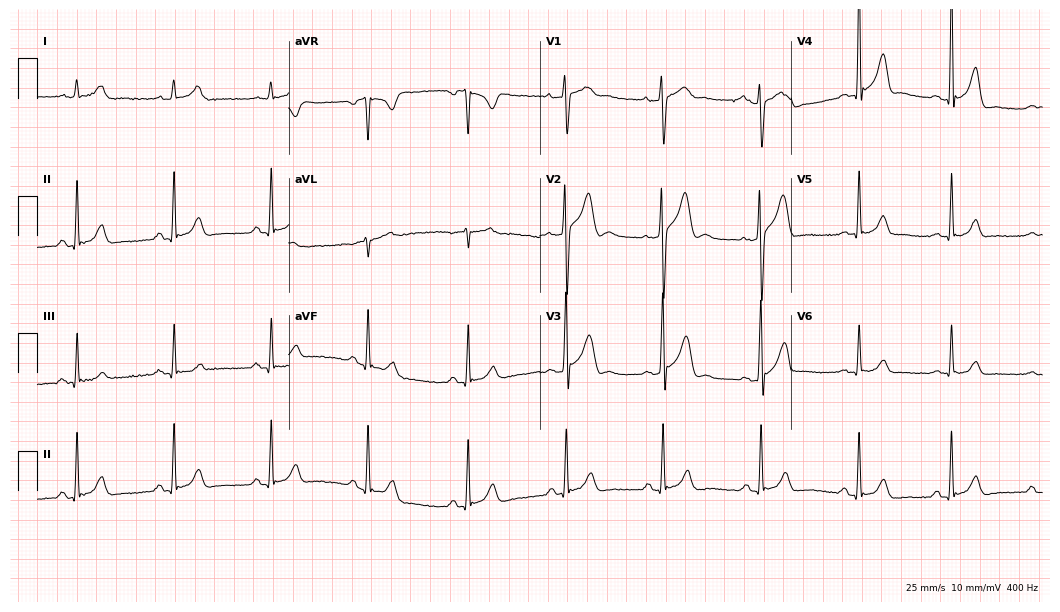
12-lead ECG from a male, 36 years old (10.2-second recording at 400 Hz). Recorded interpretation: within normal limits.